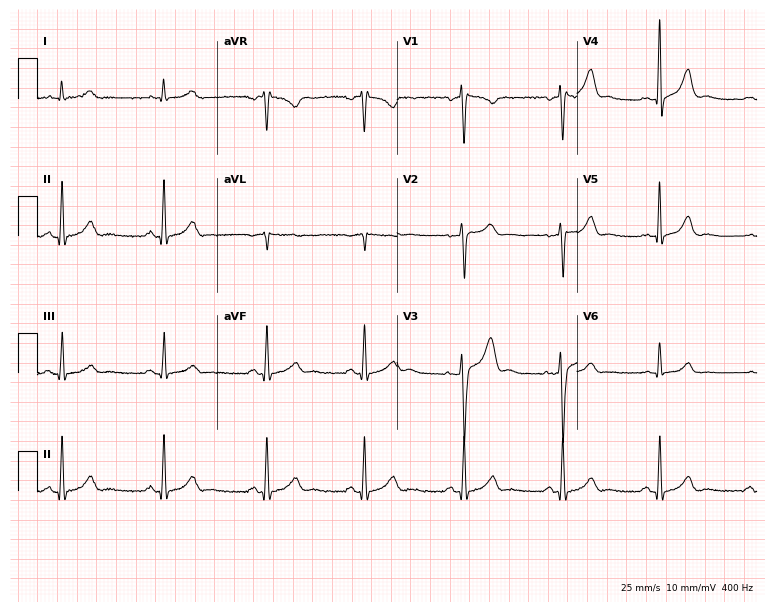
Standard 12-lead ECG recorded from a 37-year-old male. Read as a normal ECG.